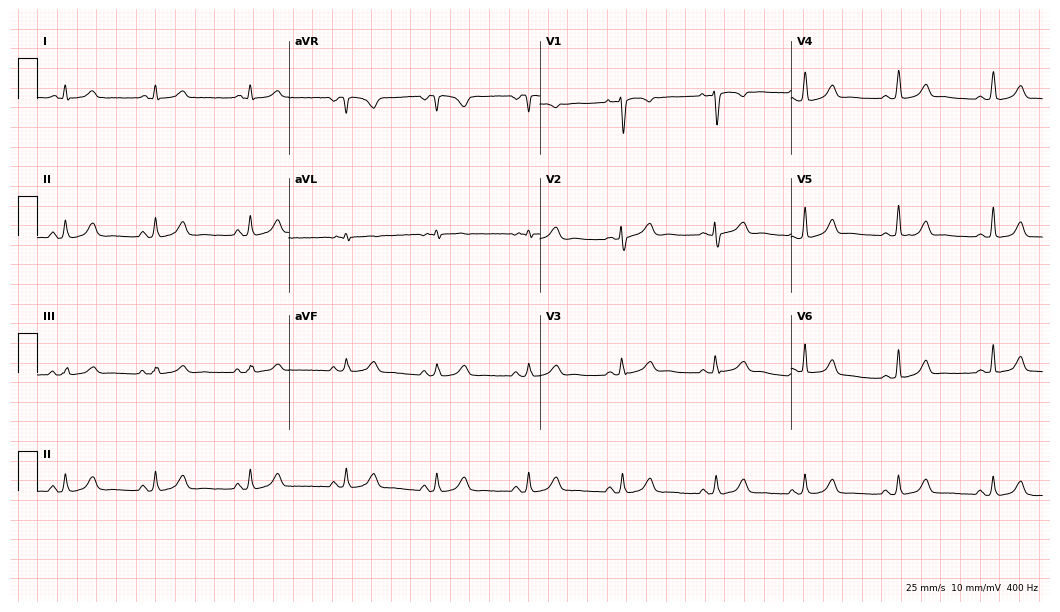
Electrocardiogram, a female patient, 22 years old. Overall reading on record: normal ECG.